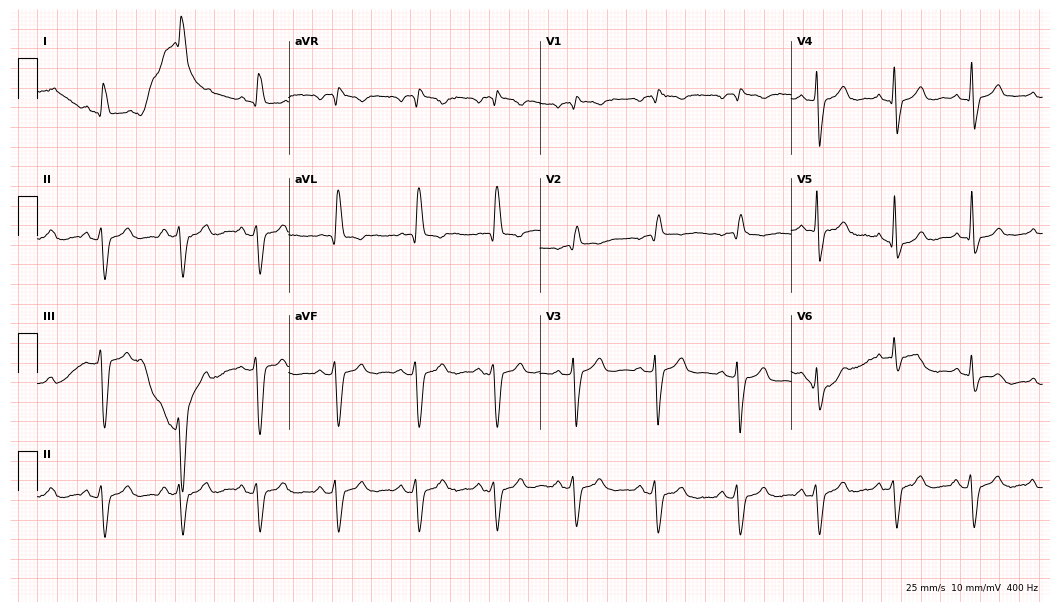
Resting 12-lead electrocardiogram. Patient: a female, 84 years old. The tracing shows right bundle branch block.